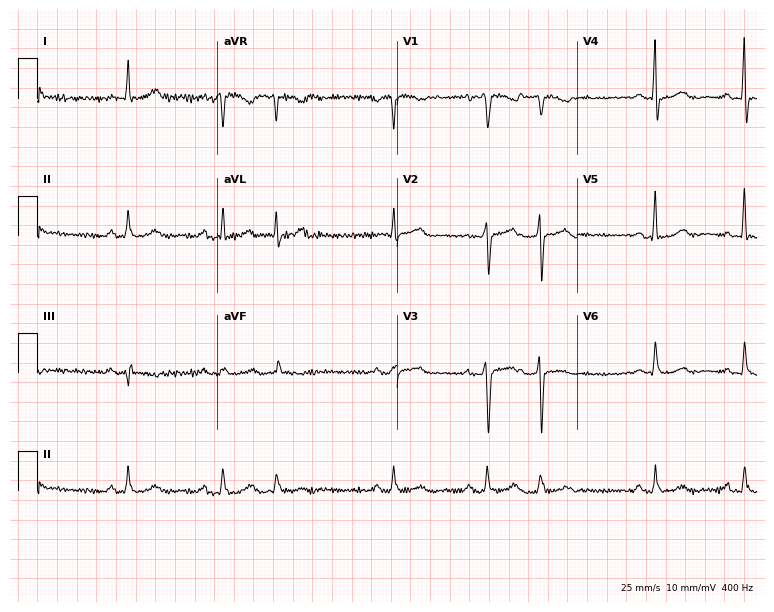
Resting 12-lead electrocardiogram. Patient: a 60-year-old female. None of these six findings is recorded: first-degree AV block, right bundle branch block, left bundle branch block, sinus bradycardia, atrial fibrillation, sinus tachycardia.